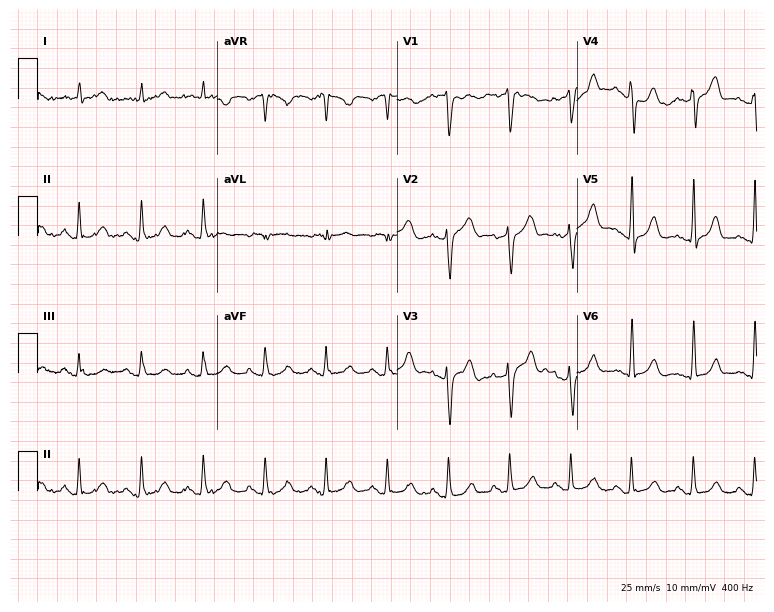
Electrocardiogram, a male, 66 years old. Overall reading on record: normal ECG.